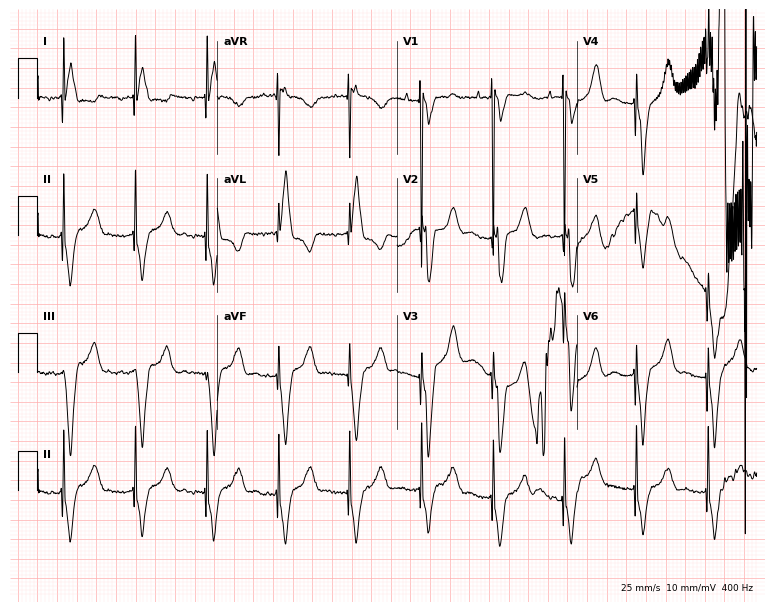
Resting 12-lead electrocardiogram. Patient: a 76-year-old woman. None of these six findings is recorded: first-degree AV block, right bundle branch block, left bundle branch block, sinus bradycardia, atrial fibrillation, sinus tachycardia.